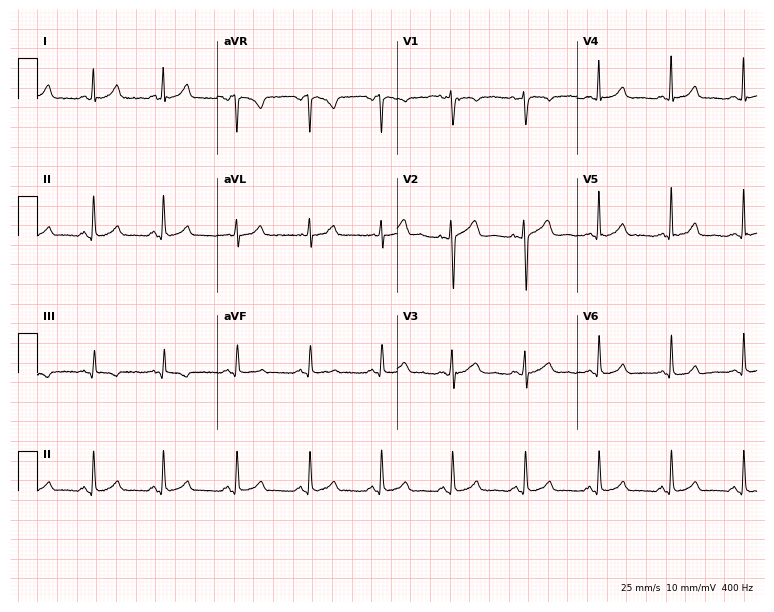
Electrocardiogram (7.3-second recording at 400 Hz), a female patient, 35 years old. Overall reading on record: normal ECG.